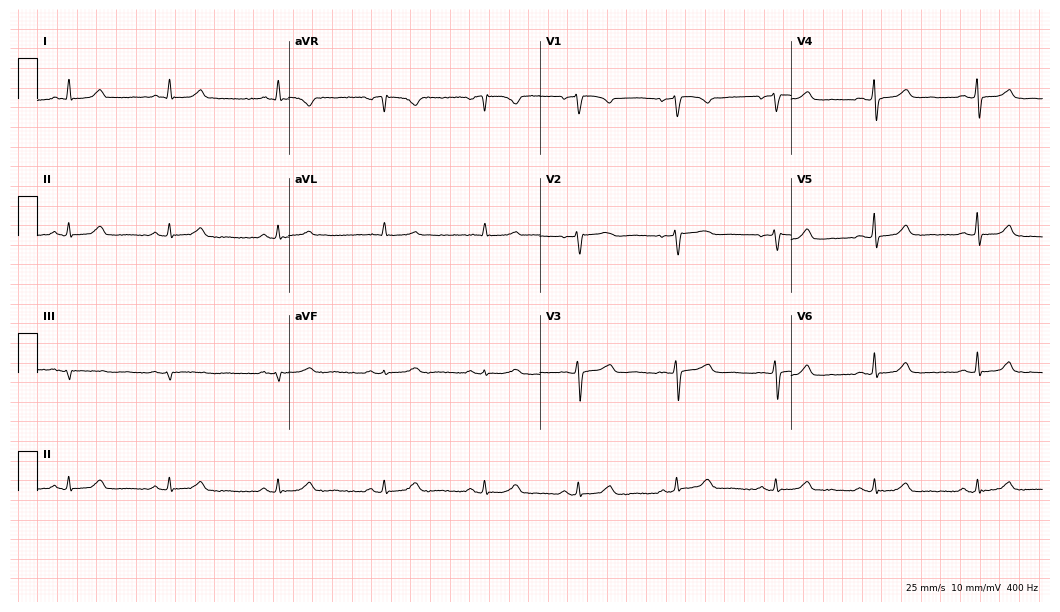
Standard 12-lead ECG recorded from a 62-year-old female patient (10.2-second recording at 400 Hz). Read as a normal ECG.